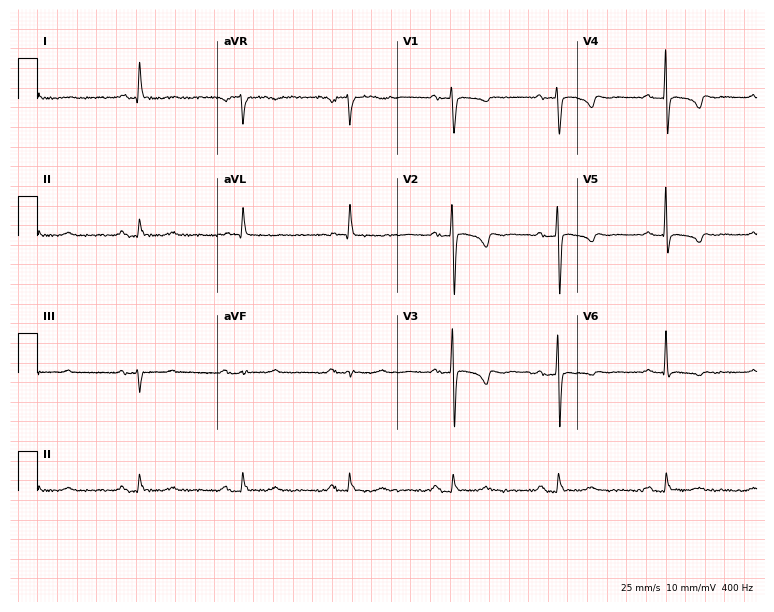
Standard 12-lead ECG recorded from a 75-year-old woman. The tracing shows first-degree AV block.